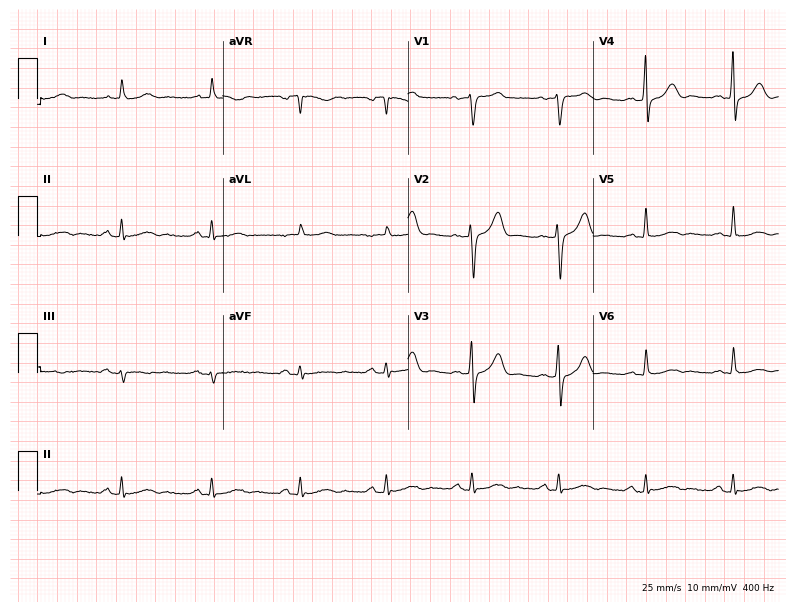
ECG — a 61-year-old male patient. Screened for six findings — first-degree AV block, right bundle branch block (RBBB), left bundle branch block (LBBB), sinus bradycardia, atrial fibrillation (AF), sinus tachycardia — none is recorded. Other findings, if any, are not listed.